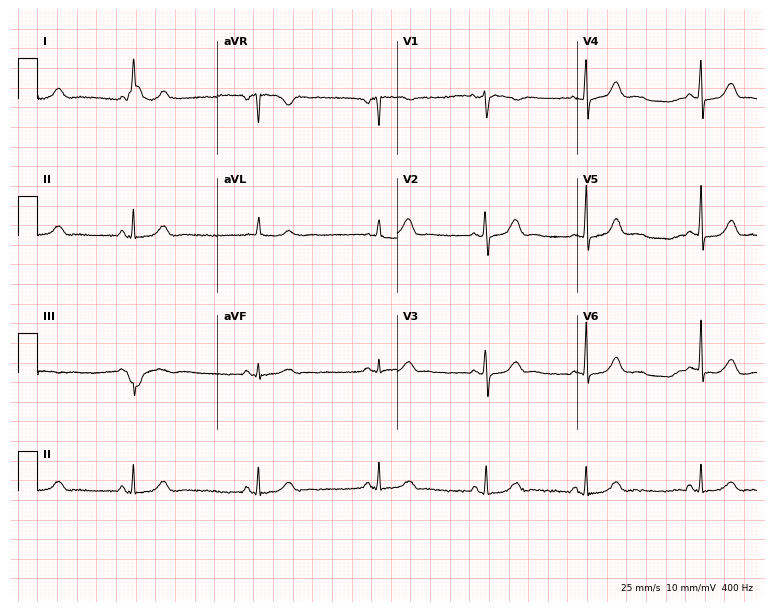
ECG — a 48-year-old female patient. Labelled as a normal ECG.